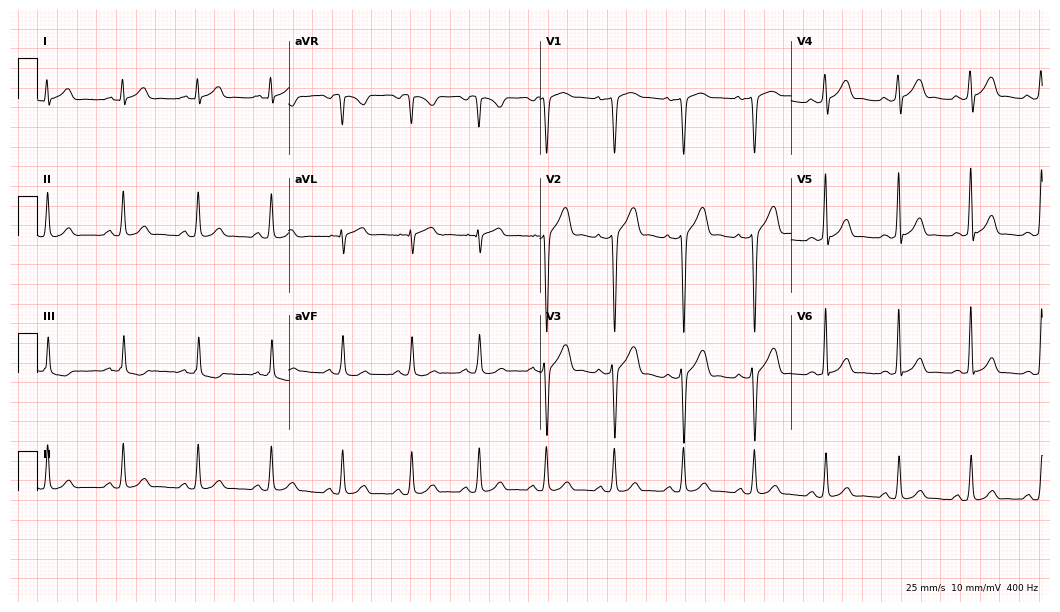
ECG — a 35-year-old male. Labelled as a normal ECG.